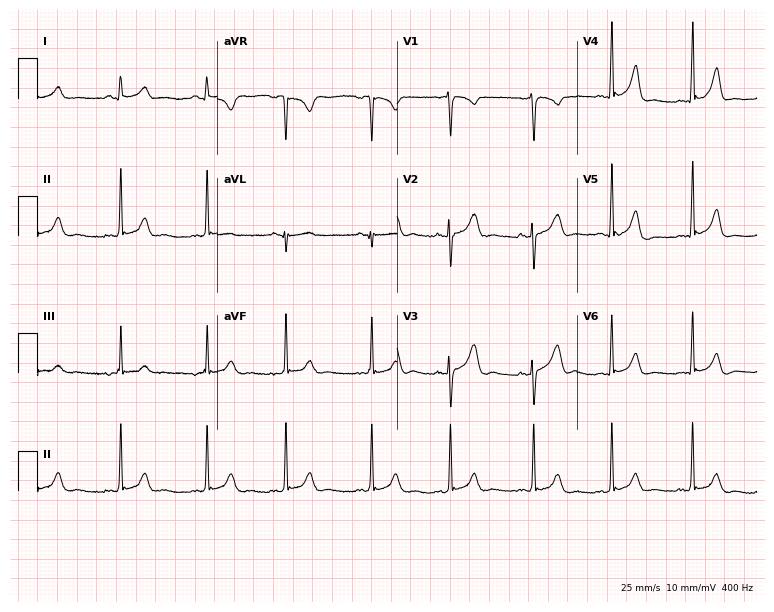
Resting 12-lead electrocardiogram (7.3-second recording at 400 Hz). Patient: a 19-year-old female. Read as a normal ECG.